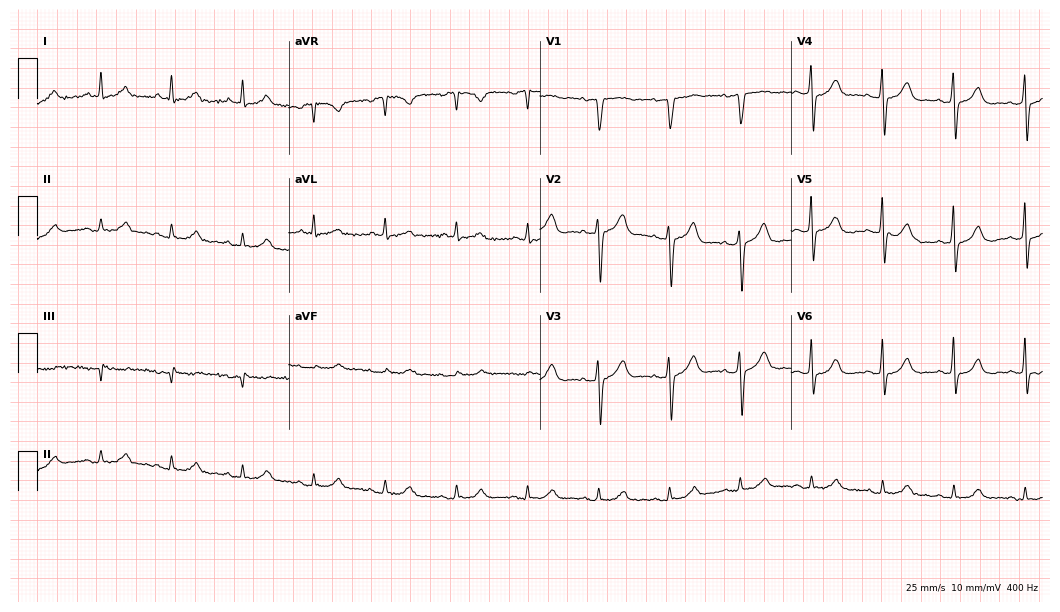
Standard 12-lead ECG recorded from a male patient, 62 years old (10.2-second recording at 400 Hz). Read as a normal ECG.